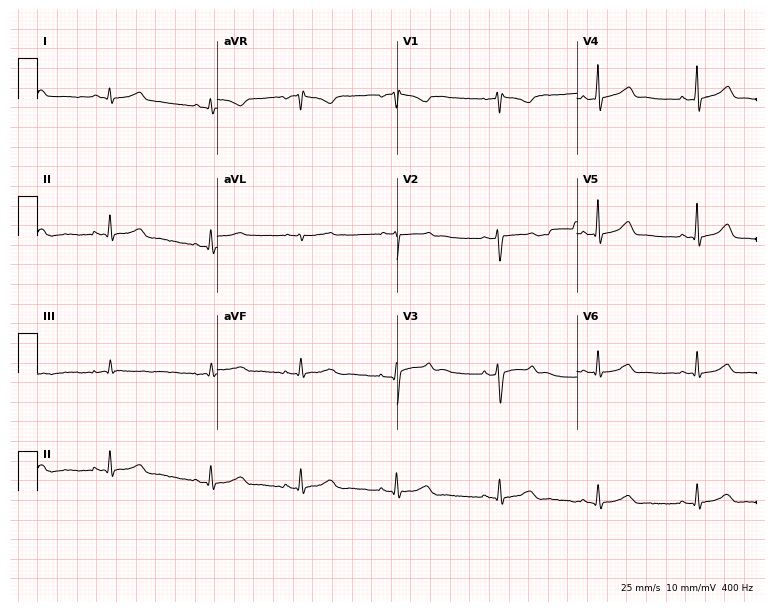
Electrocardiogram, a woman, 36 years old. Of the six screened findings (first-degree AV block, right bundle branch block, left bundle branch block, sinus bradycardia, atrial fibrillation, sinus tachycardia), none is recorded. Only these six findings were labelled.